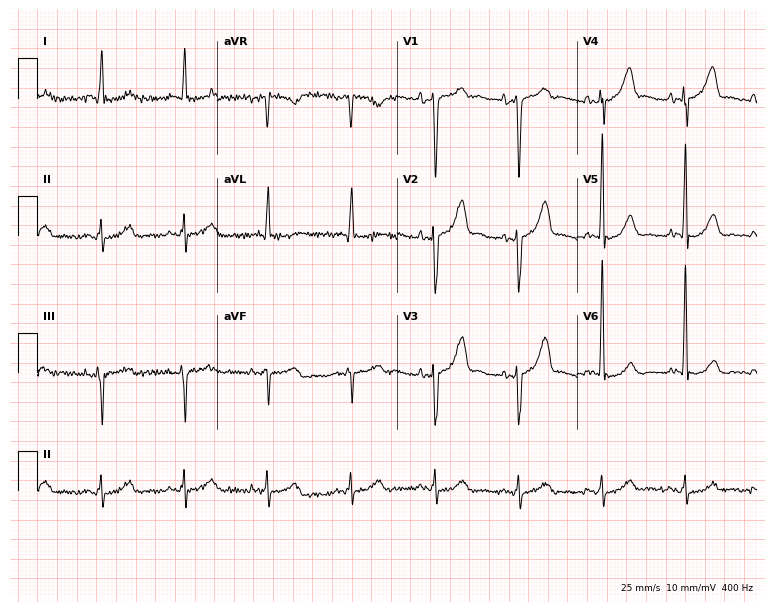
12-lead ECG from a 66-year-old male. Screened for six findings — first-degree AV block, right bundle branch block, left bundle branch block, sinus bradycardia, atrial fibrillation, sinus tachycardia — none is recorded.